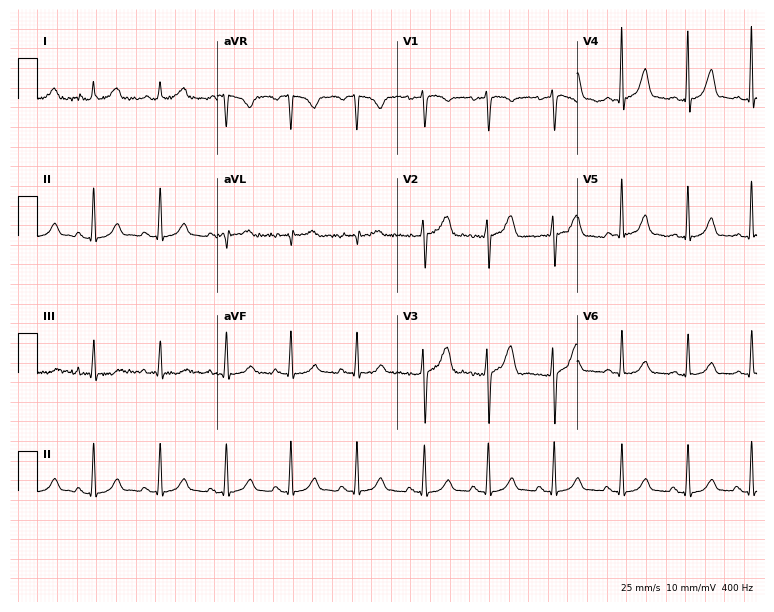
Standard 12-lead ECG recorded from a 32-year-old female (7.3-second recording at 400 Hz). None of these six findings is recorded: first-degree AV block, right bundle branch block, left bundle branch block, sinus bradycardia, atrial fibrillation, sinus tachycardia. Only these six findings were labelled.